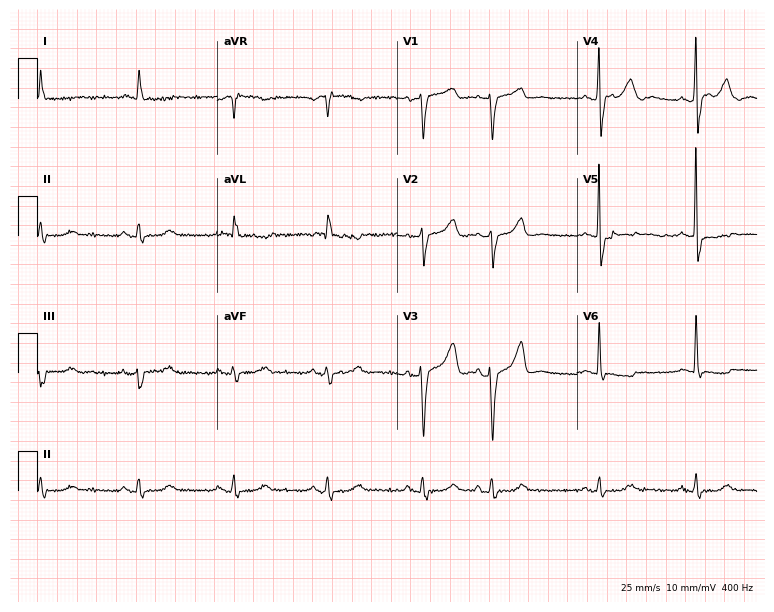
12-lead ECG from a 73-year-old female patient. Screened for six findings — first-degree AV block, right bundle branch block, left bundle branch block, sinus bradycardia, atrial fibrillation, sinus tachycardia — none is recorded.